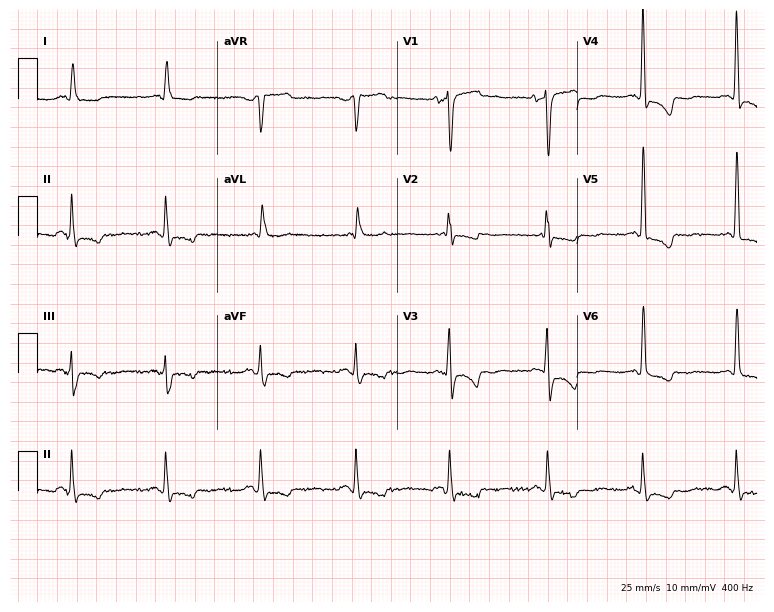
Electrocardiogram, an 82-year-old woman. Of the six screened findings (first-degree AV block, right bundle branch block (RBBB), left bundle branch block (LBBB), sinus bradycardia, atrial fibrillation (AF), sinus tachycardia), none is recorded. Other findings, if any, are not listed.